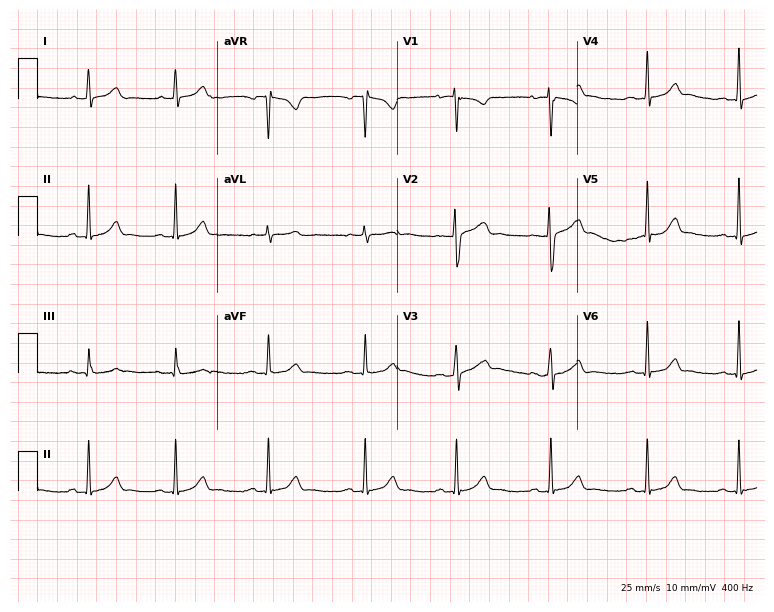
12-lead ECG from a female, 23 years old (7.3-second recording at 400 Hz). No first-degree AV block, right bundle branch block, left bundle branch block, sinus bradycardia, atrial fibrillation or sinus tachycardia recorded for this tracing.